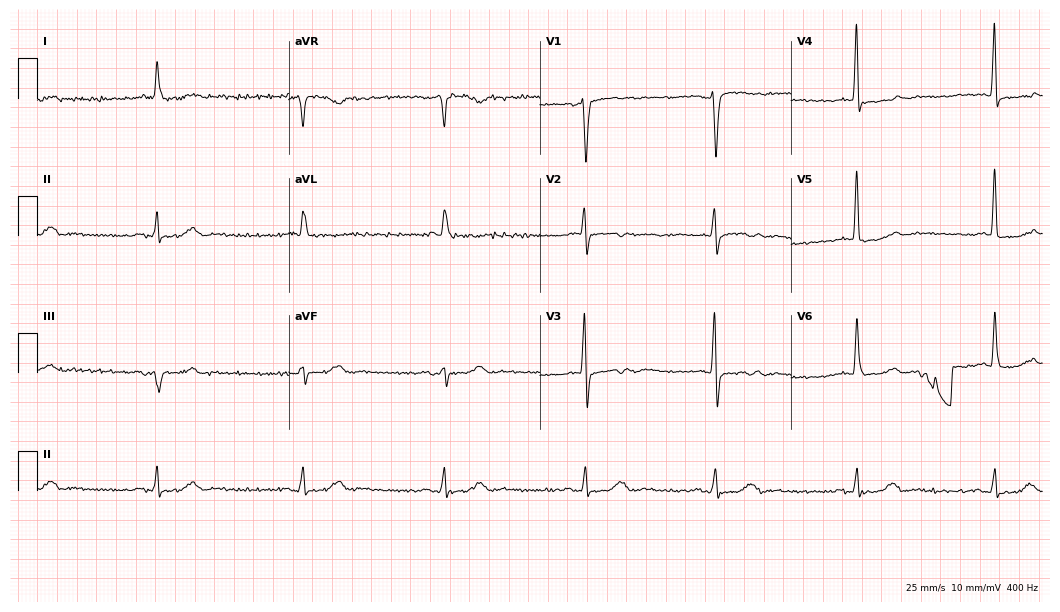
12-lead ECG (10.2-second recording at 400 Hz) from a 57-year-old male patient. Findings include sinus bradycardia (a sinus rate of 50 beats per minute or less).